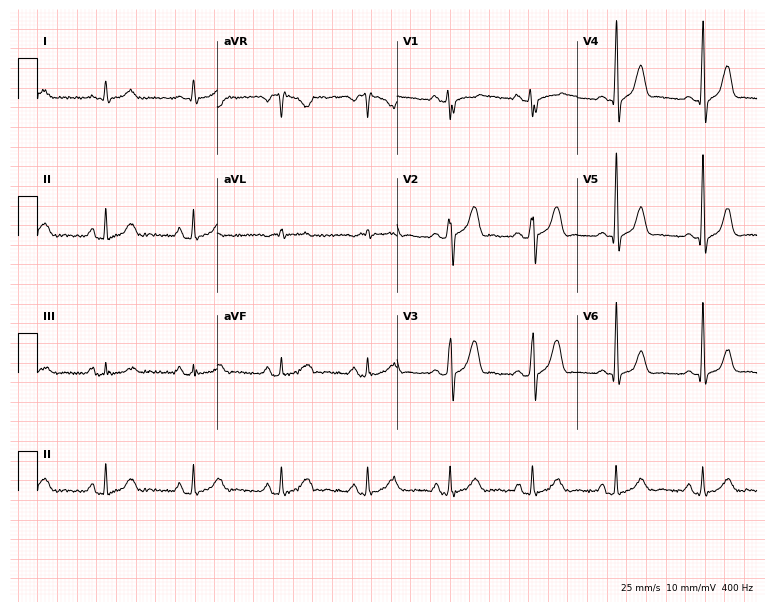
ECG (7.3-second recording at 400 Hz) — a man, 41 years old. Labelled as a normal ECG.